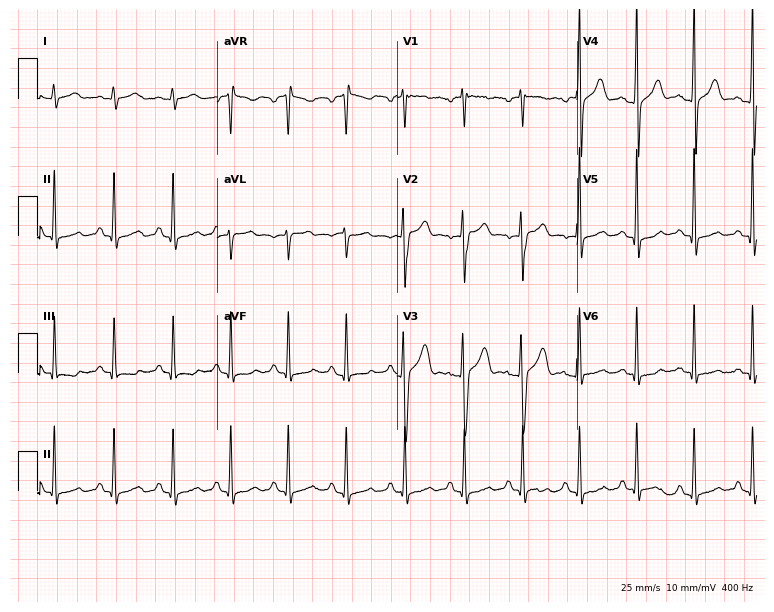
12-lead ECG from a man, 31 years old (7.3-second recording at 400 Hz). Shows sinus tachycardia (a sinus rate of 100 beats per minute or more).